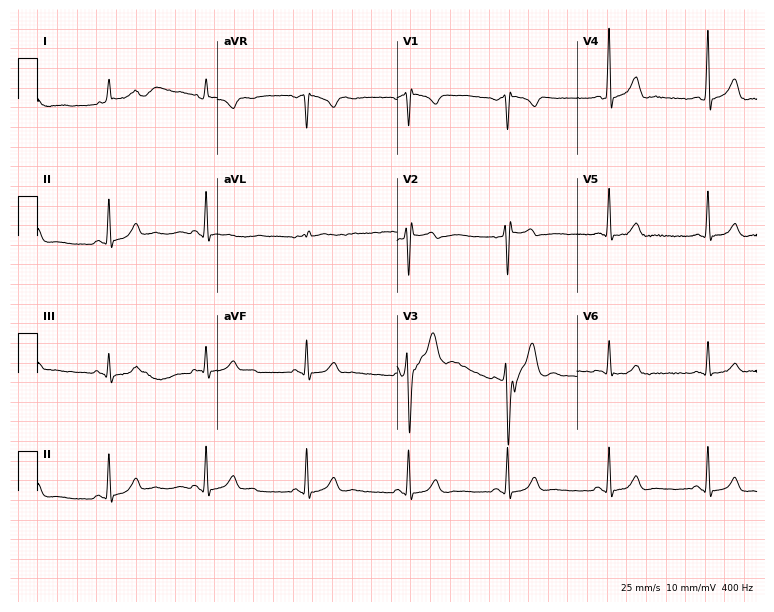
ECG — a 27-year-old female. Screened for six findings — first-degree AV block, right bundle branch block (RBBB), left bundle branch block (LBBB), sinus bradycardia, atrial fibrillation (AF), sinus tachycardia — none is recorded. Findings outside these six are not listed.